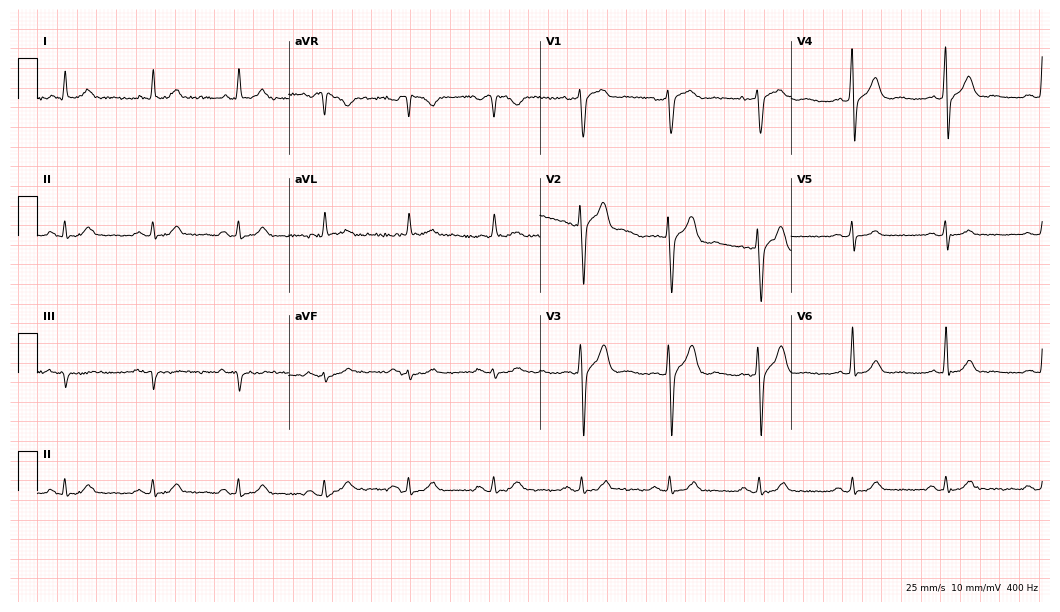
Standard 12-lead ECG recorded from a 51-year-old male. None of these six findings is recorded: first-degree AV block, right bundle branch block (RBBB), left bundle branch block (LBBB), sinus bradycardia, atrial fibrillation (AF), sinus tachycardia.